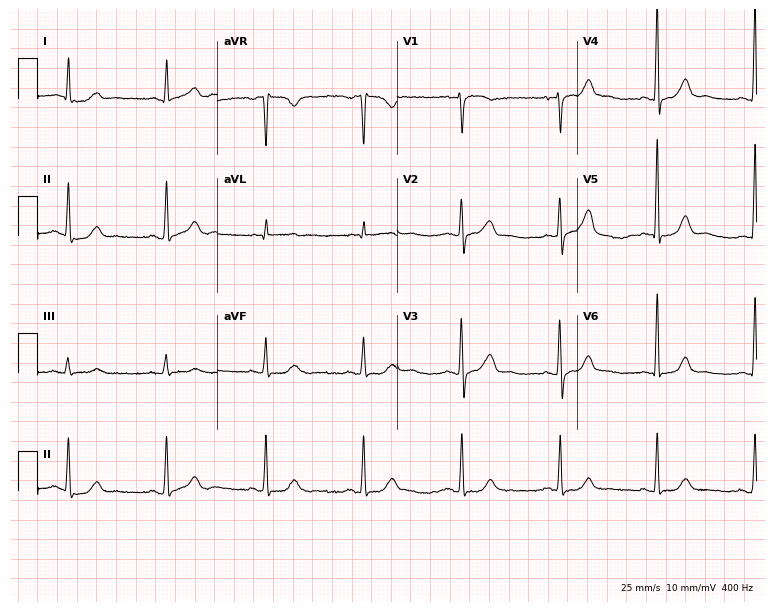
Resting 12-lead electrocardiogram. Patient: a 66-year-old female. Read as a normal ECG.